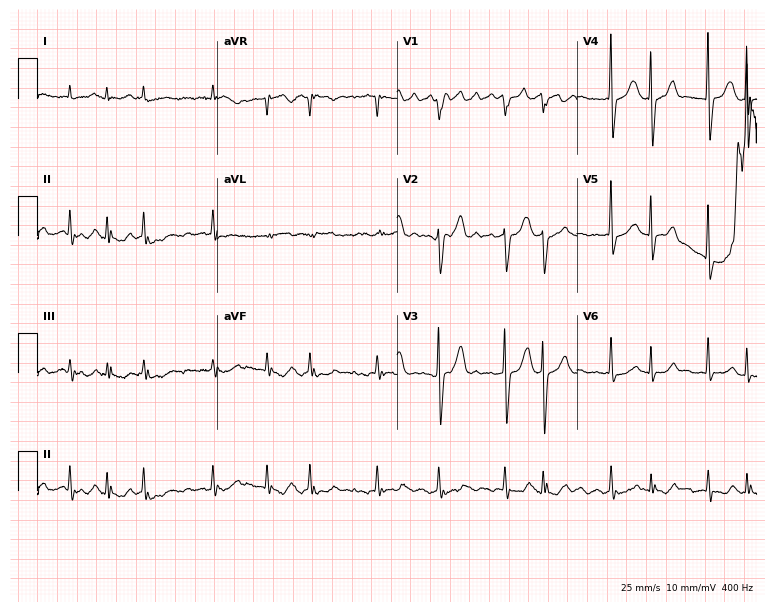
Standard 12-lead ECG recorded from an 84-year-old male patient. The tracing shows atrial fibrillation.